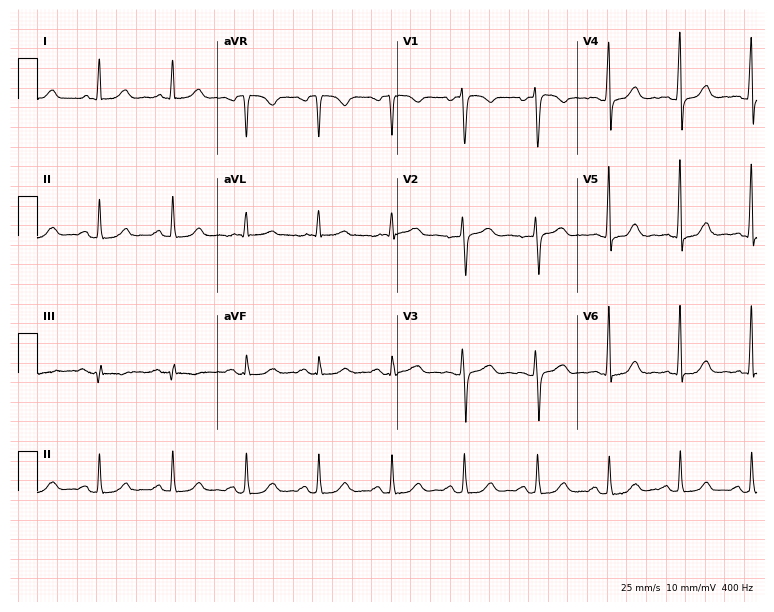
12-lead ECG from a woman, 52 years old. Labelled as a normal ECG.